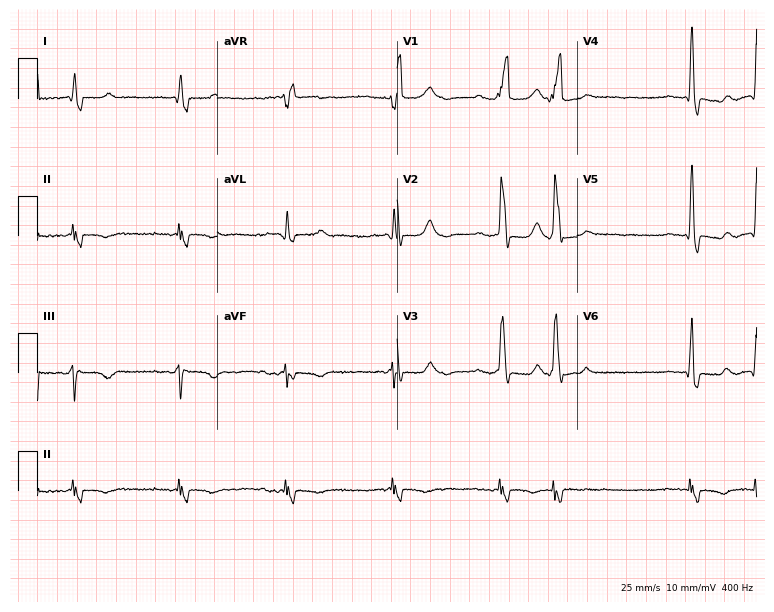
Electrocardiogram, an 86-year-old male patient. Of the six screened findings (first-degree AV block, right bundle branch block, left bundle branch block, sinus bradycardia, atrial fibrillation, sinus tachycardia), none is recorded.